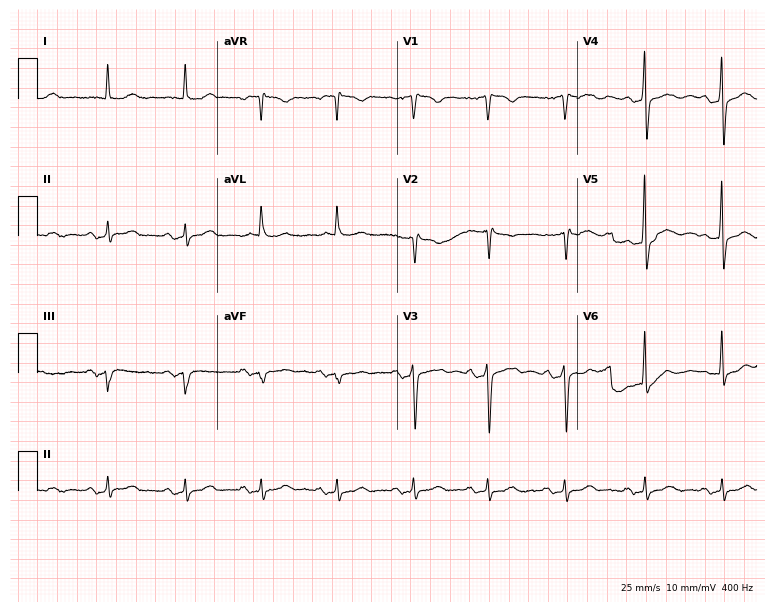
12-lead ECG from an 84-year-old male (7.3-second recording at 400 Hz). No first-degree AV block, right bundle branch block (RBBB), left bundle branch block (LBBB), sinus bradycardia, atrial fibrillation (AF) or sinus tachycardia recorded for this tracing. Findings outside these six are not listed.